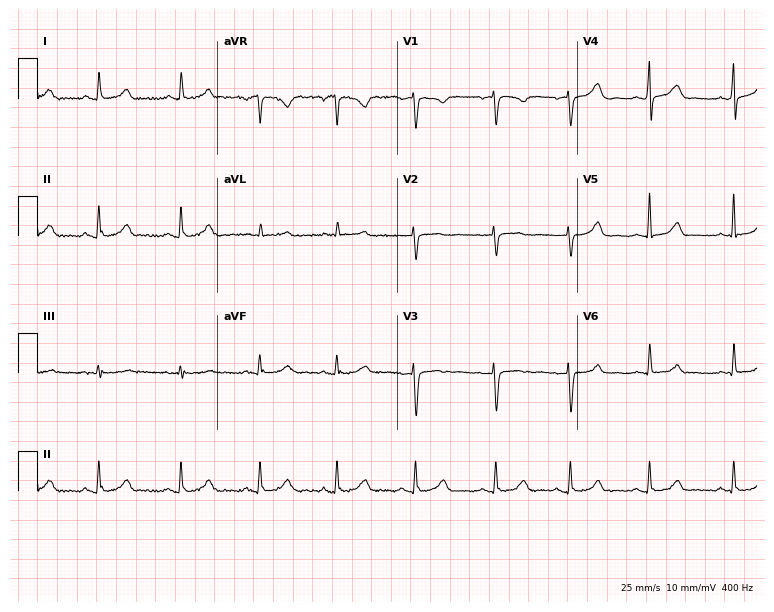
Resting 12-lead electrocardiogram (7.3-second recording at 400 Hz). Patient: a female, 37 years old. Read as a normal ECG.